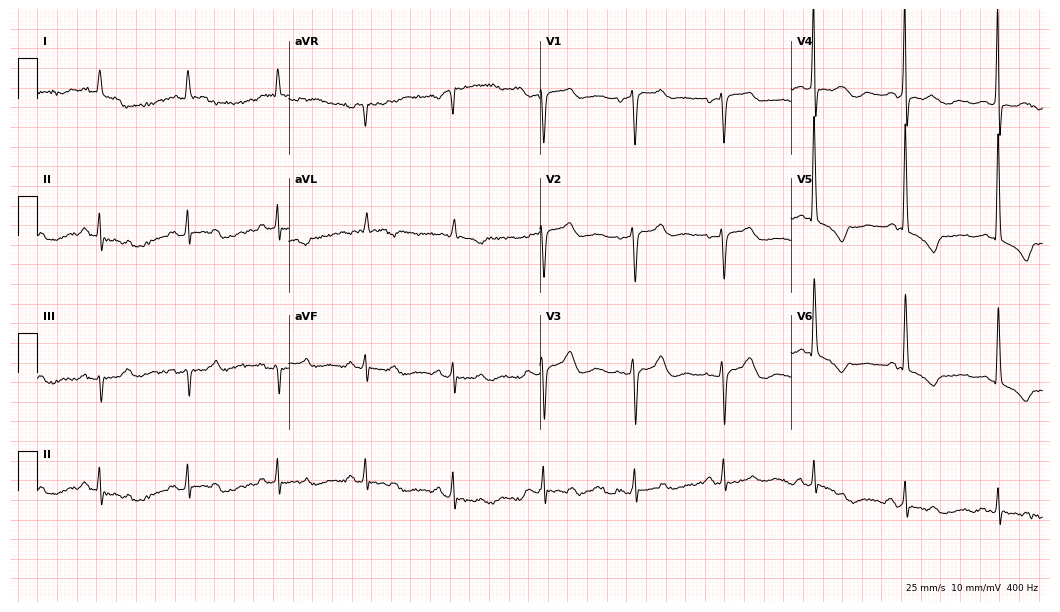
12-lead ECG from a 76-year-old female patient (10.2-second recording at 400 Hz). No first-degree AV block, right bundle branch block, left bundle branch block, sinus bradycardia, atrial fibrillation or sinus tachycardia recorded for this tracing.